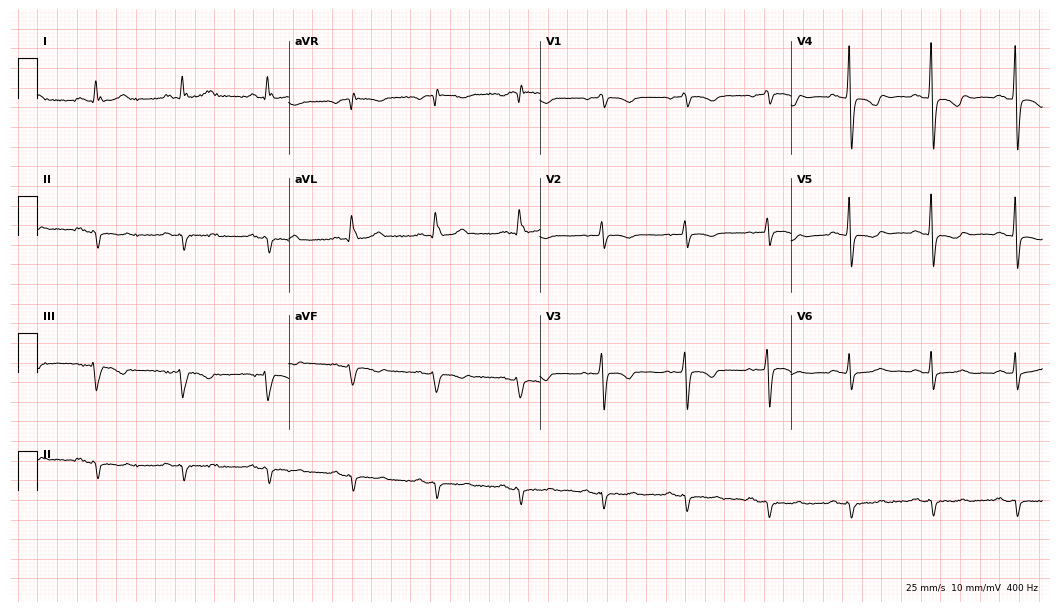
Resting 12-lead electrocardiogram. Patient: a woman, 71 years old. None of these six findings is recorded: first-degree AV block, right bundle branch block, left bundle branch block, sinus bradycardia, atrial fibrillation, sinus tachycardia. Only these six findings were labelled.